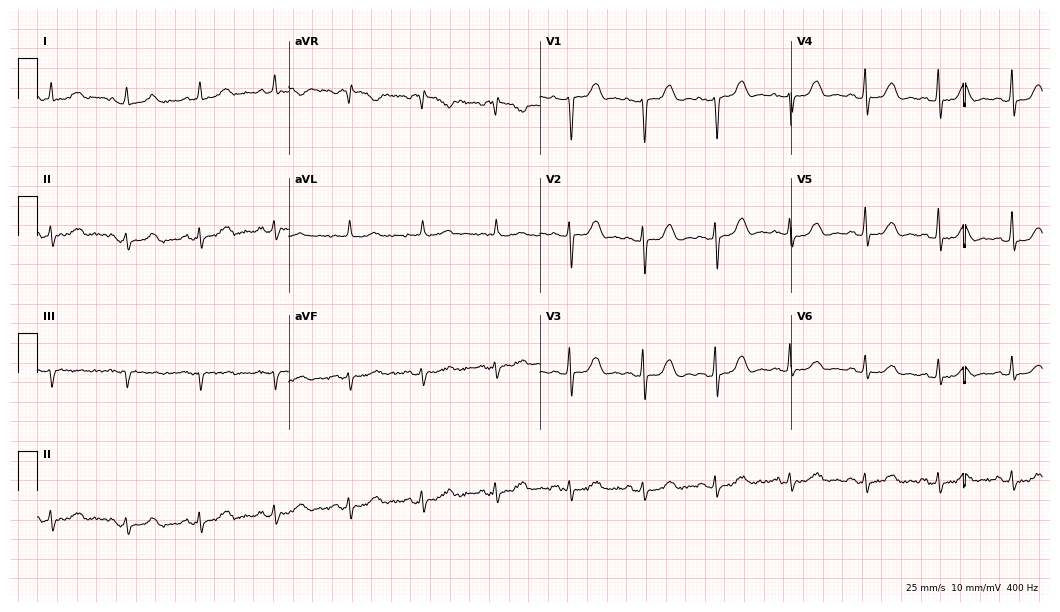
12-lead ECG from a female, 82 years old (10.2-second recording at 400 Hz). Recorded interpretation: within normal limits.